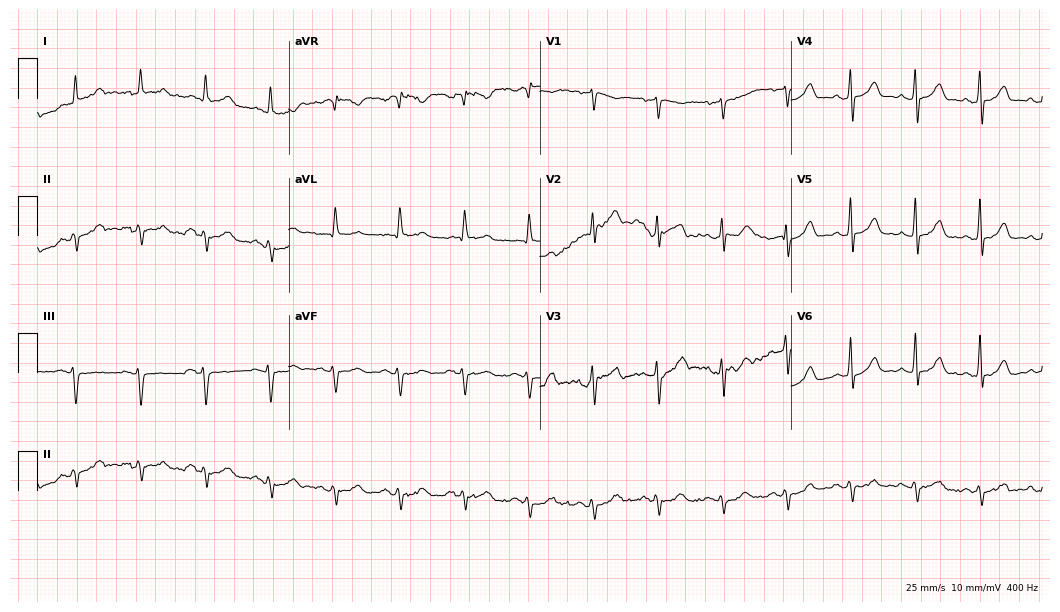
Resting 12-lead electrocardiogram (10.2-second recording at 400 Hz). Patient: a 78-year-old man. None of these six findings is recorded: first-degree AV block, right bundle branch block, left bundle branch block, sinus bradycardia, atrial fibrillation, sinus tachycardia.